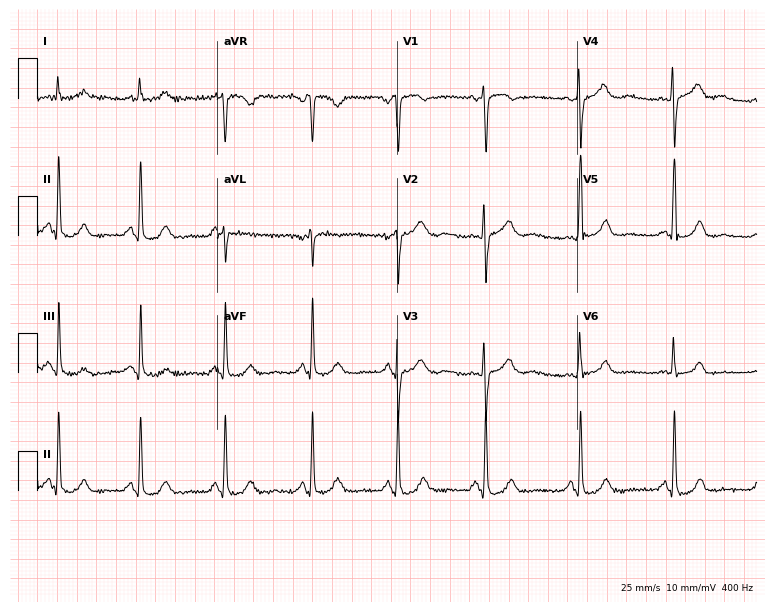
Electrocardiogram (7.3-second recording at 400 Hz), a female, 53 years old. Of the six screened findings (first-degree AV block, right bundle branch block, left bundle branch block, sinus bradycardia, atrial fibrillation, sinus tachycardia), none is recorded. Other findings, if any, are not listed.